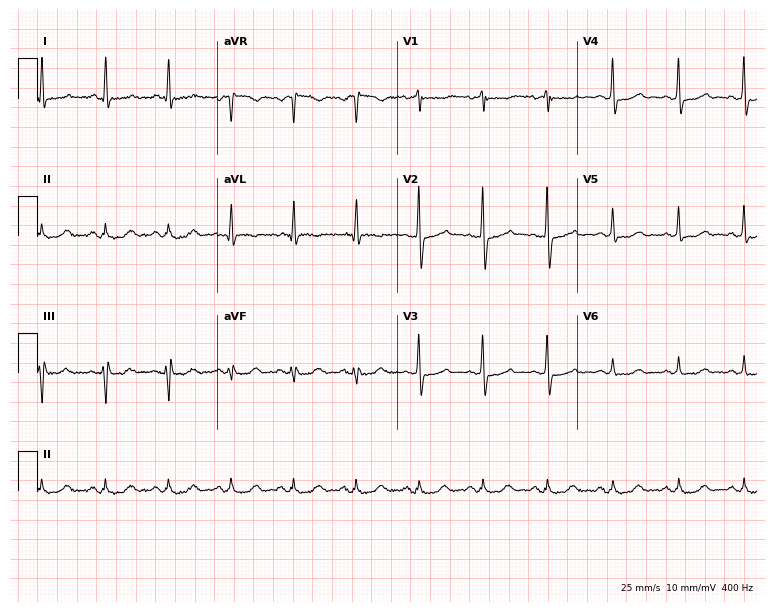
ECG (7.3-second recording at 400 Hz) — a 62-year-old man. Screened for six findings — first-degree AV block, right bundle branch block, left bundle branch block, sinus bradycardia, atrial fibrillation, sinus tachycardia — none is recorded. Findings outside these six are not listed.